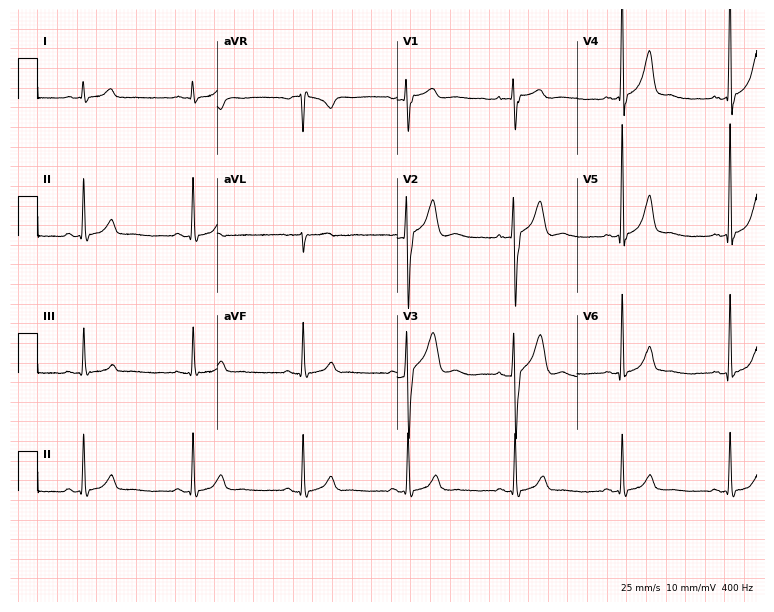
Standard 12-lead ECG recorded from a 34-year-old male patient (7.3-second recording at 400 Hz). None of these six findings is recorded: first-degree AV block, right bundle branch block, left bundle branch block, sinus bradycardia, atrial fibrillation, sinus tachycardia.